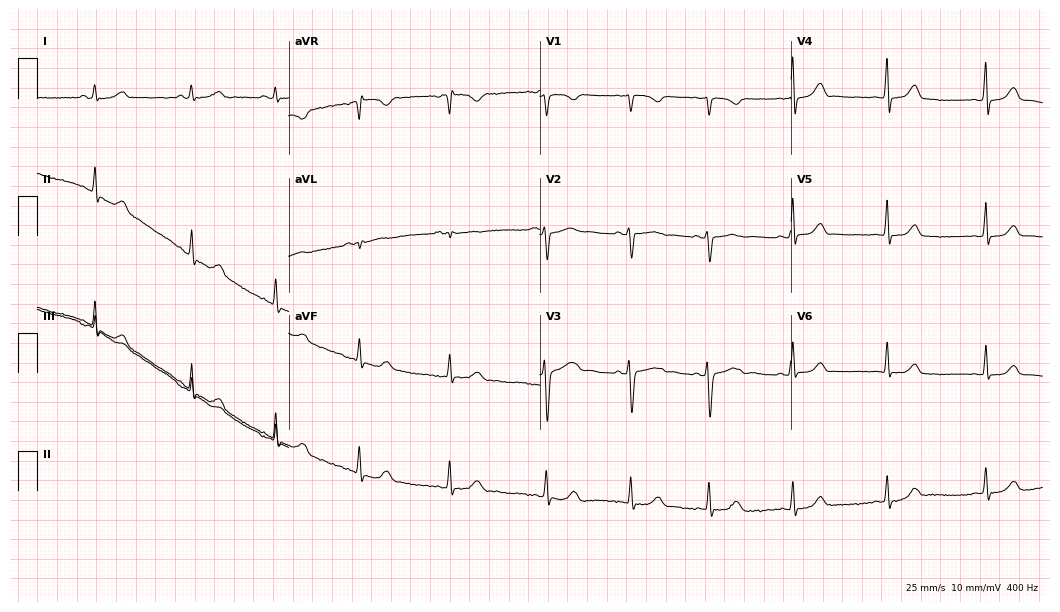
ECG — a female, 26 years old. Labelled as a normal ECG.